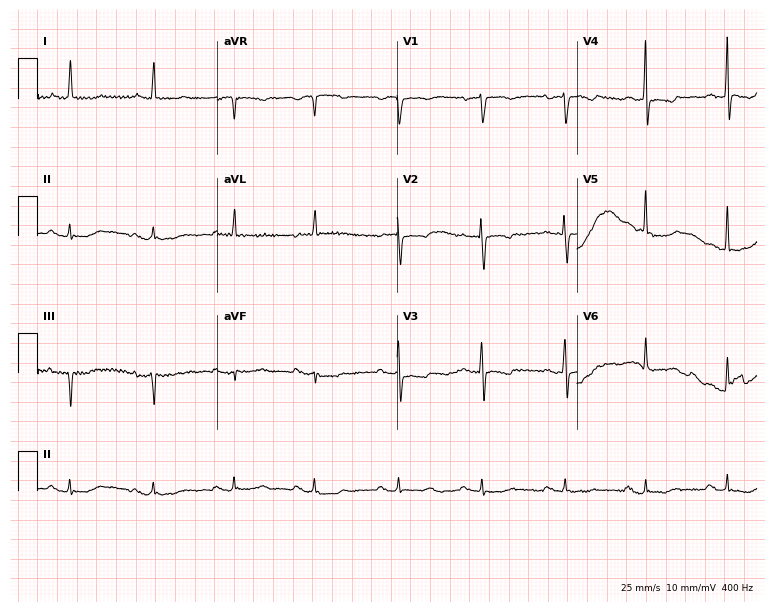
12-lead ECG from a 79-year-old female. No first-degree AV block, right bundle branch block, left bundle branch block, sinus bradycardia, atrial fibrillation or sinus tachycardia recorded for this tracing.